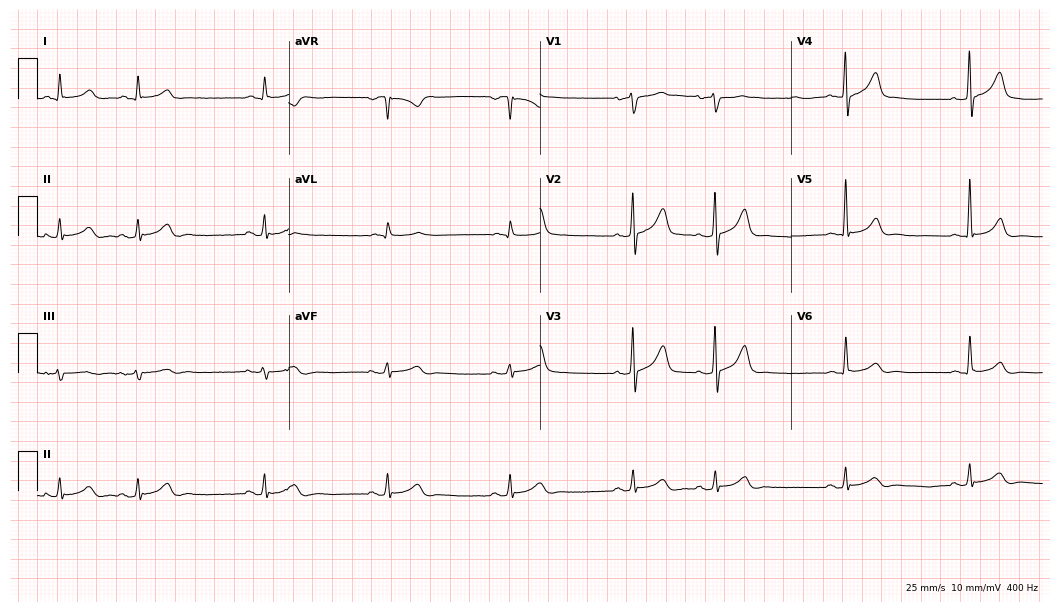
Electrocardiogram (10.2-second recording at 400 Hz), a 66-year-old male. Of the six screened findings (first-degree AV block, right bundle branch block, left bundle branch block, sinus bradycardia, atrial fibrillation, sinus tachycardia), none is recorded. Only these six findings were labelled.